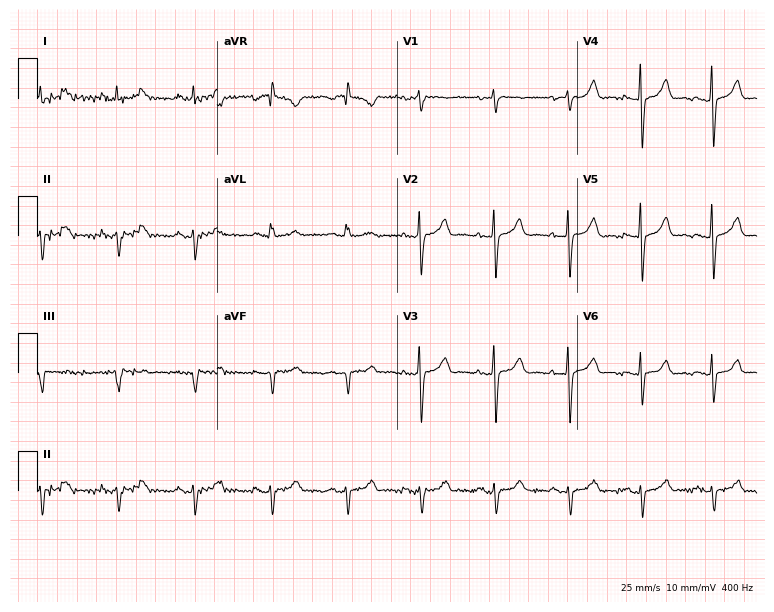
Electrocardiogram (7.3-second recording at 400 Hz), a female, 64 years old. Of the six screened findings (first-degree AV block, right bundle branch block (RBBB), left bundle branch block (LBBB), sinus bradycardia, atrial fibrillation (AF), sinus tachycardia), none is recorded. Only these six findings were labelled.